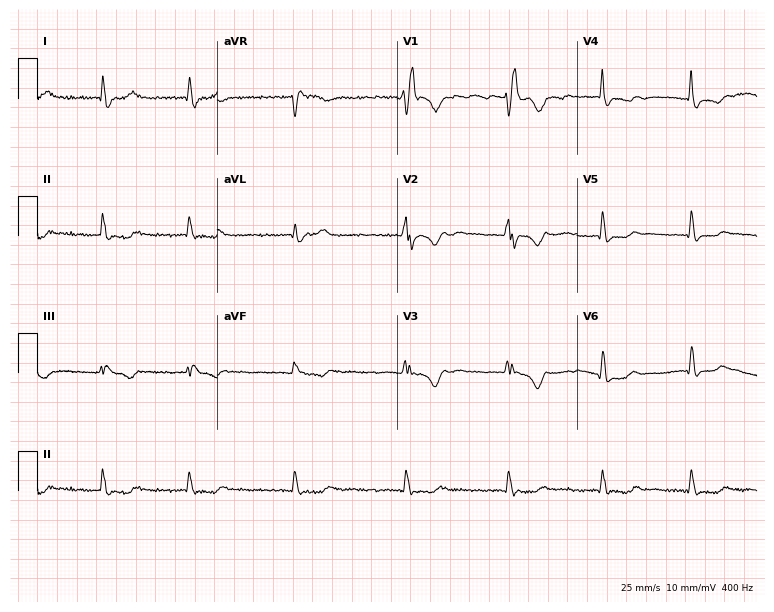
Standard 12-lead ECG recorded from an 85-year-old woman (7.3-second recording at 400 Hz). The tracing shows right bundle branch block, atrial fibrillation.